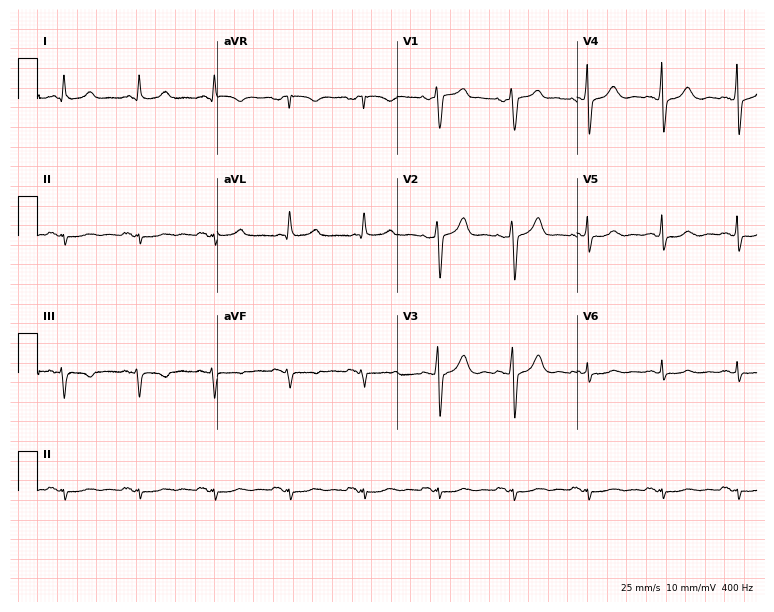
12-lead ECG (7.3-second recording at 400 Hz) from a male, 83 years old. Screened for six findings — first-degree AV block, right bundle branch block (RBBB), left bundle branch block (LBBB), sinus bradycardia, atrial fibrillation (AF), sinus tachycardia — none is recorded.